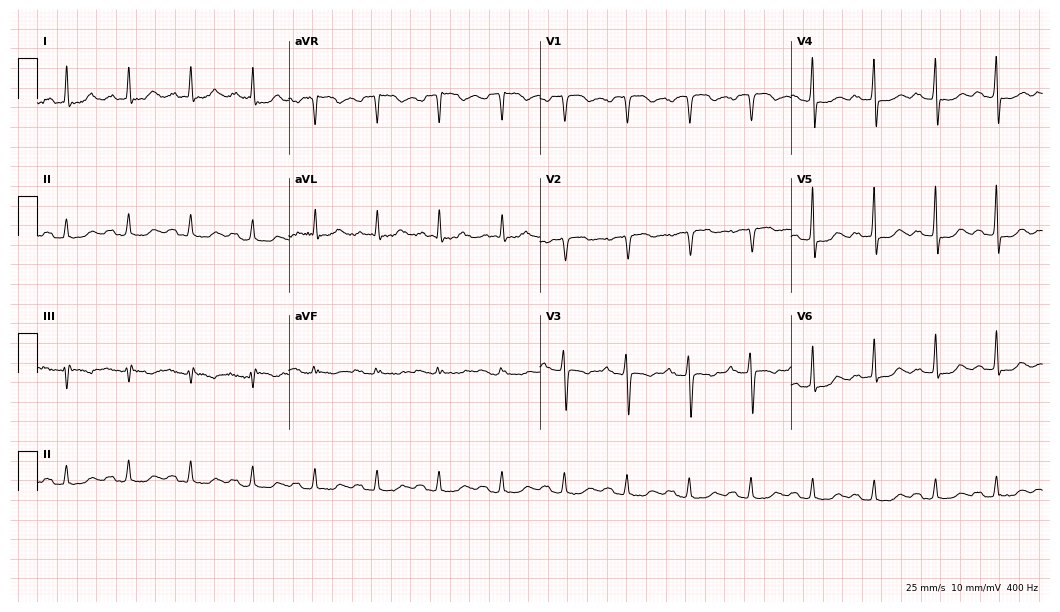
Resting 12-lead electrocardiogram (10.2-second recording at 400 Hz). Patient: a 70-year-old woman. None of these six findings is recorded: first-degree AV block, right bundle branch block, left bundle branch block, sinus bradycardia, atrial fibrillation, sinus tachycardia. Other findings, if any, are not listed.